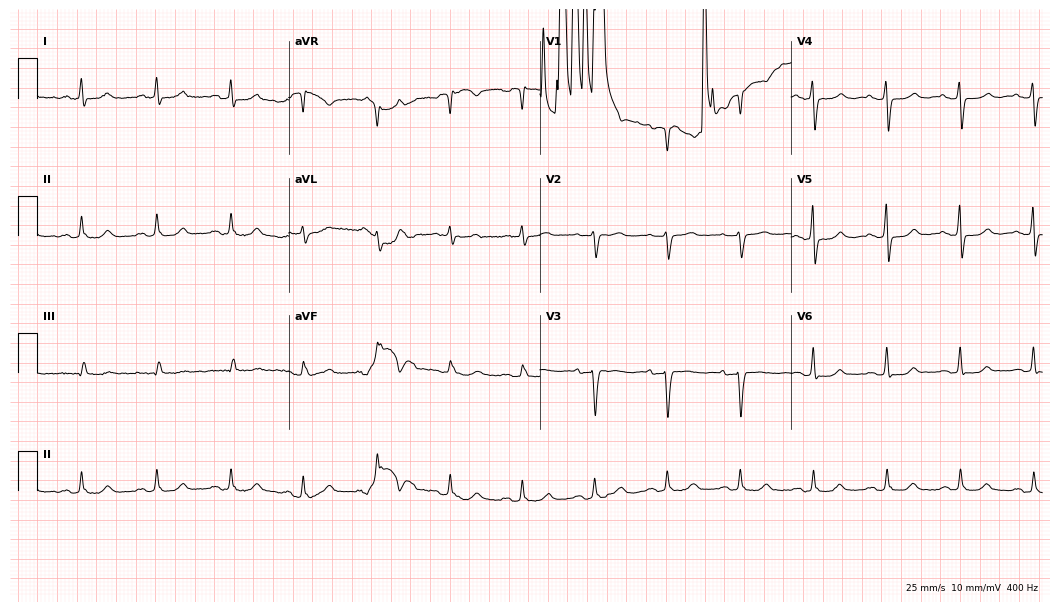
Electrocardiogram, a 57-year-old female patient. Of the six screened findings (first-degree AV block, right bundle branch block, left bundle branch block, sinus bradycardia, atrial fibrillation, sinus tachycardia), none is recorded. Findings outside these six are not listed.